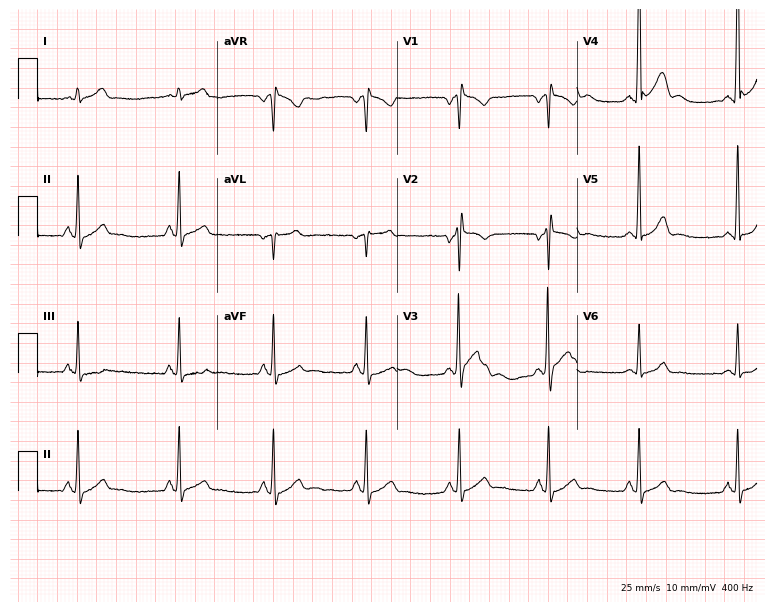
ECG — a 33-year-old man. Labelled as a normal ECG.